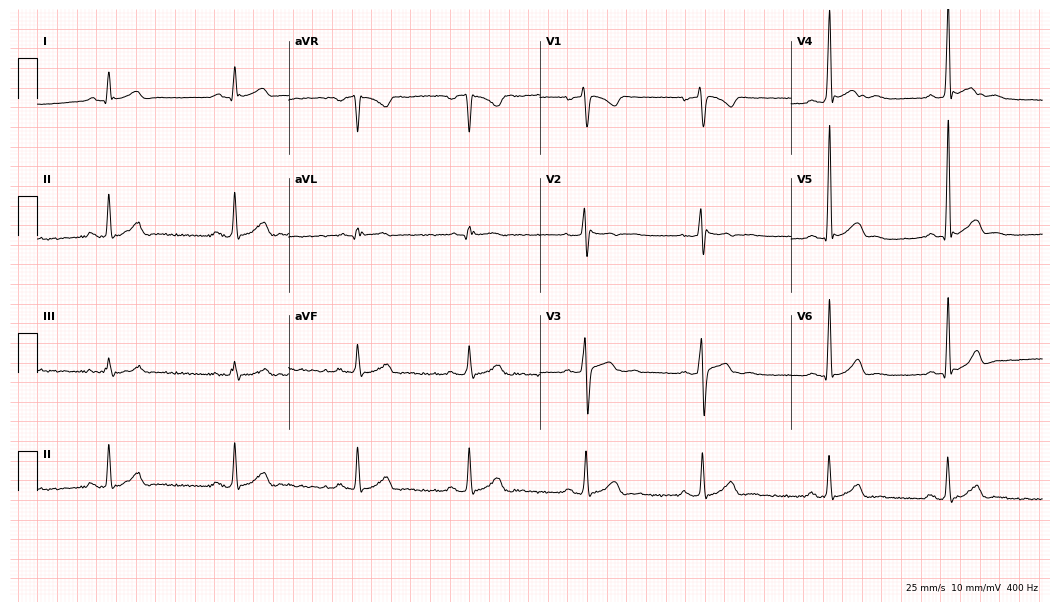
Resting 12-lead electrocardiogram. Patient: a man, 27 years old. The tracing shows sinus bradycardia (a sinus rate of 50 beats per minute or less).